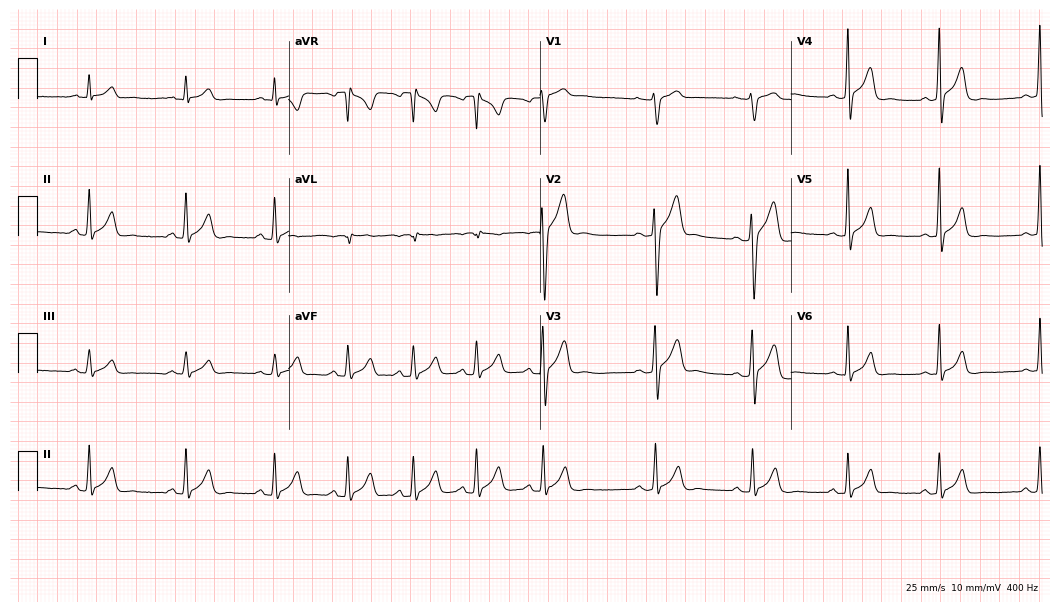
Electrocardiogram, a 21-year-old male patient. Overall reading on record: normal ECG.